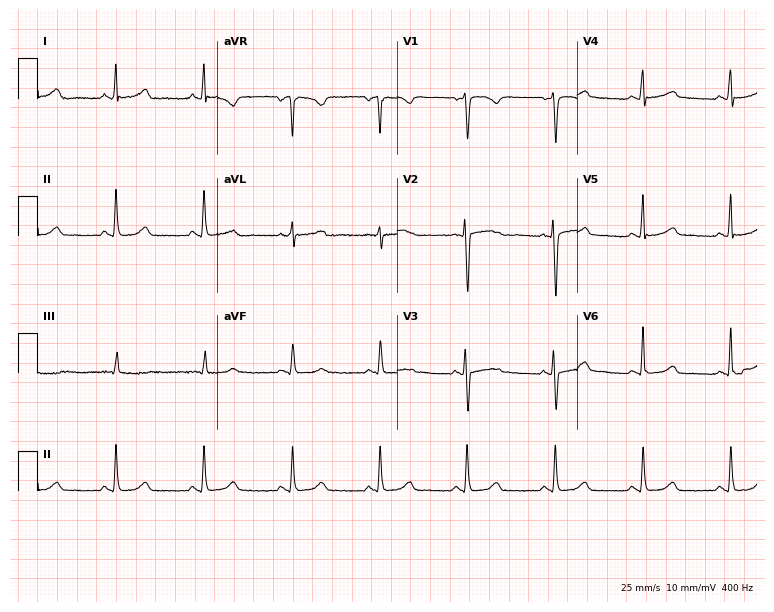
12-lead ECG (7.3-second recording at 400 Hz) from a 46-year-old female. Labelled as a normal ECG.